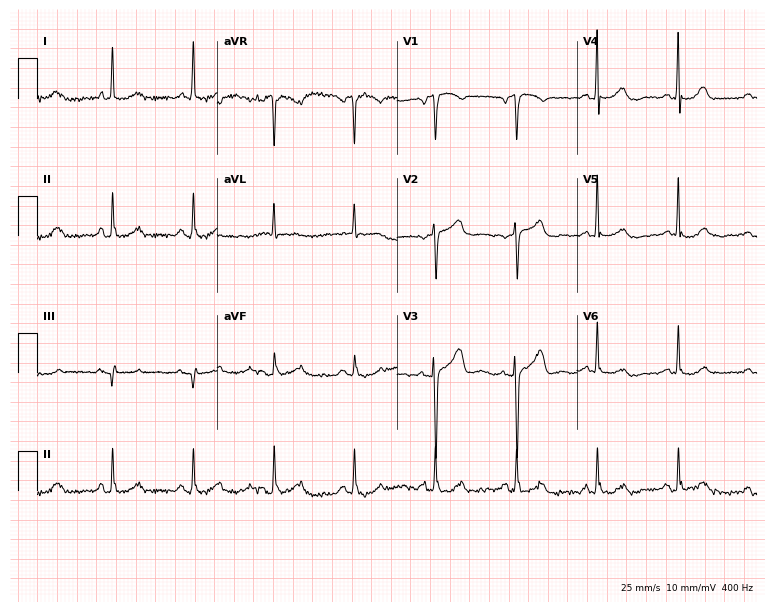
12-lead ECG from a female, 81 years old. Labelled as a normal ECG.